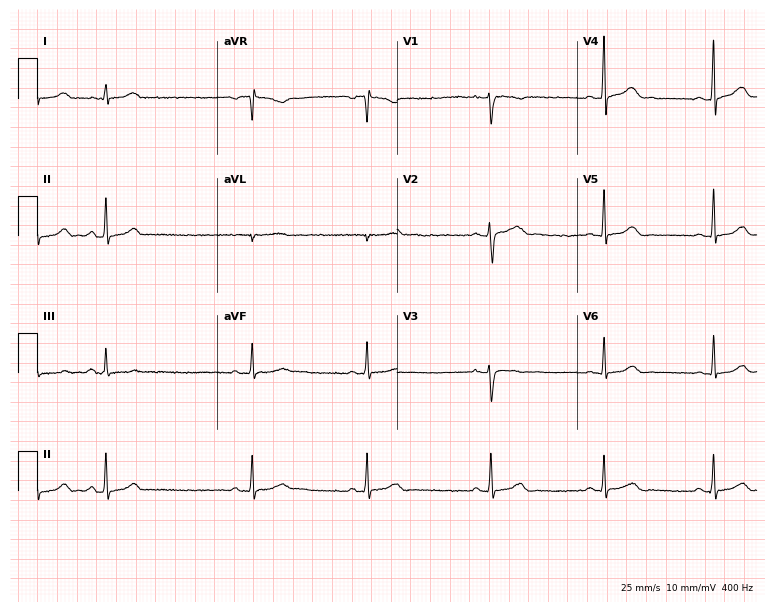
12-lead ECG (7.3-second recording at 400 Hz) from a woman, 23 years old. Labelled as a normal ECG.